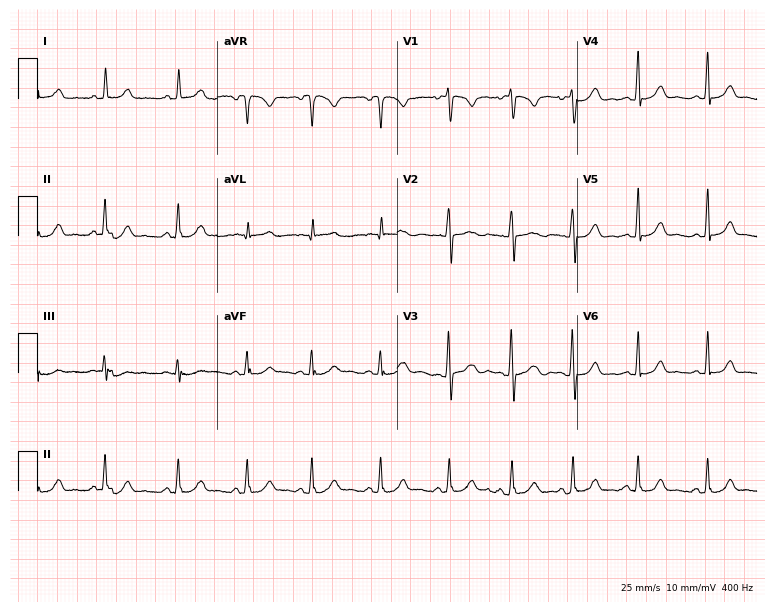
Resting 12-lead electrocardiogram. Patient: a woman, 20 years old. Read as a normal ECG.